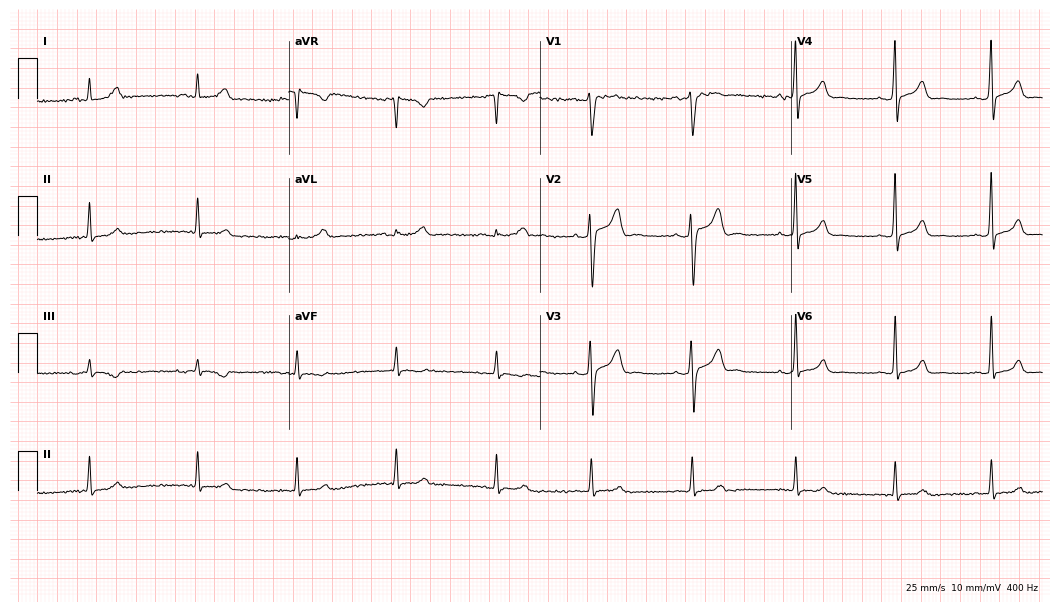
Resting 12-lead electrocardiogram (10.2-second recording at 400 Hz). Patient: a 29-year-old male. Read as a normal ECG.